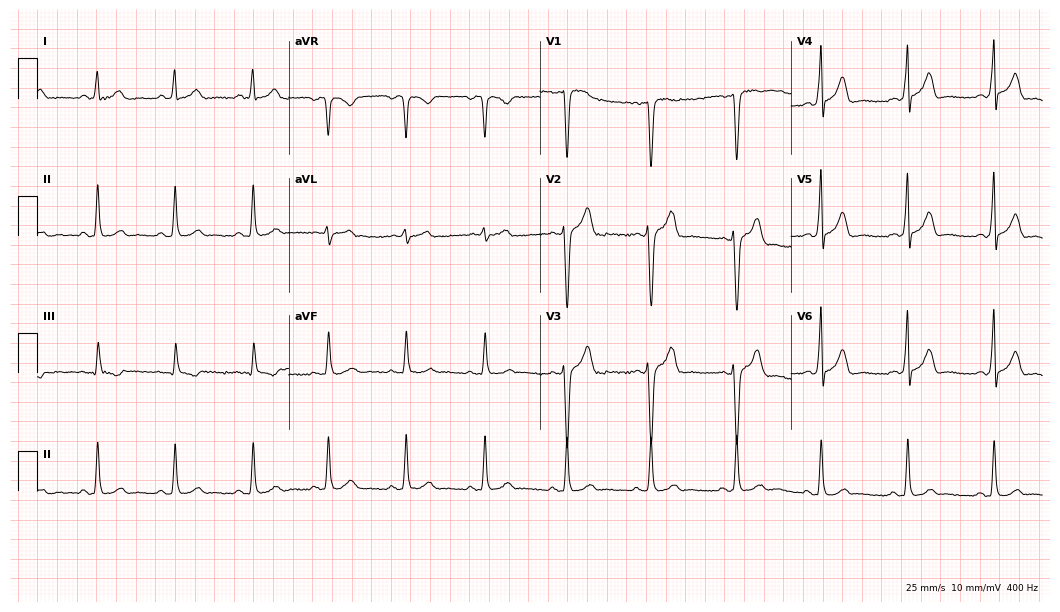
Standard 12-lead ECG recorded from a 39-year-old male. Read as a normal ECG.